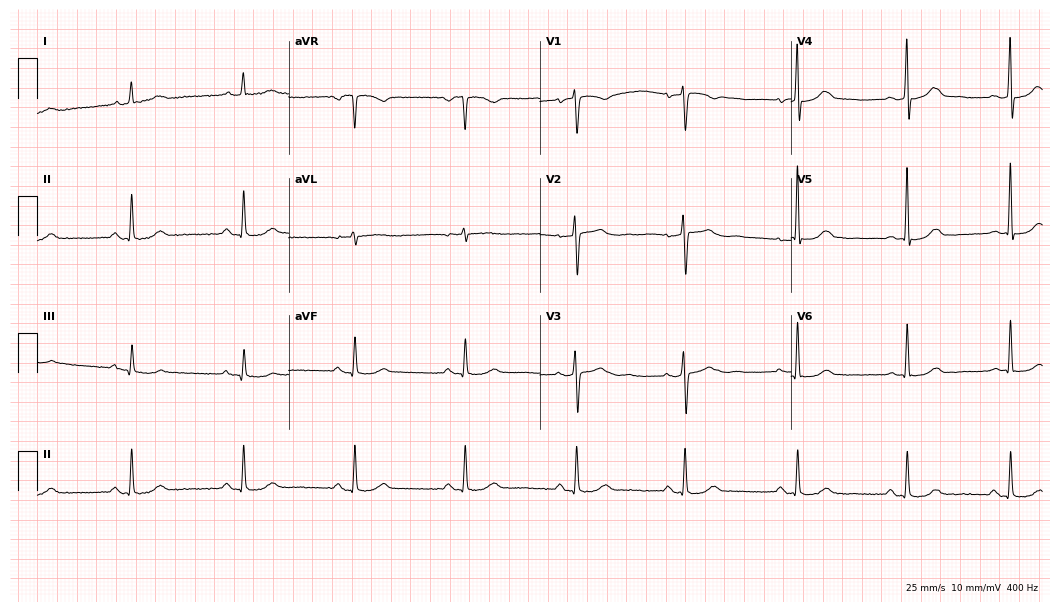
Standard 12-lead ECG recorded from a 40-year-old female (10.2-second recording at 400 Hz). Read as a normal ECG.